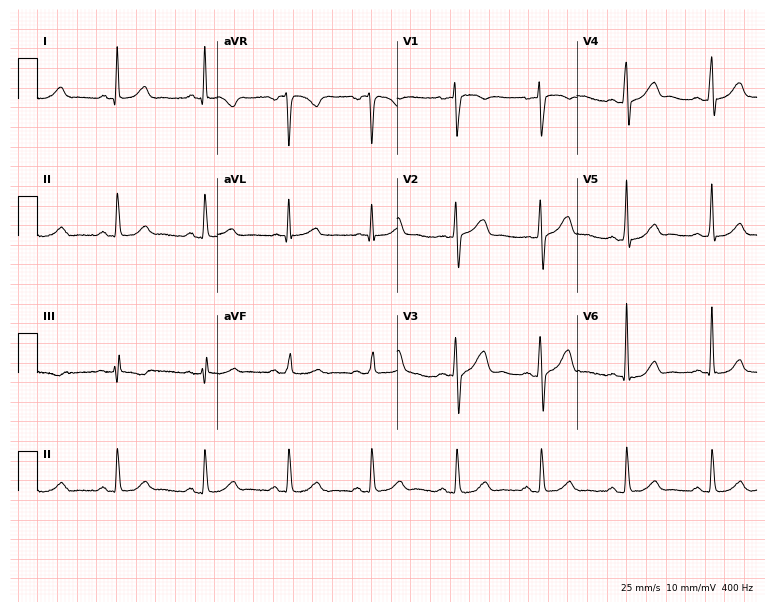
ECG (7.3-second recording at 400 Hz) — a 44-year-old woman. Screened for six findings — first-degree AV block, right bundle branch block, left bundle branch block, sinus bradycardia, atrial fibrillation, sinus tachycardia — none is recorded. Other findings, if any, are not listed.